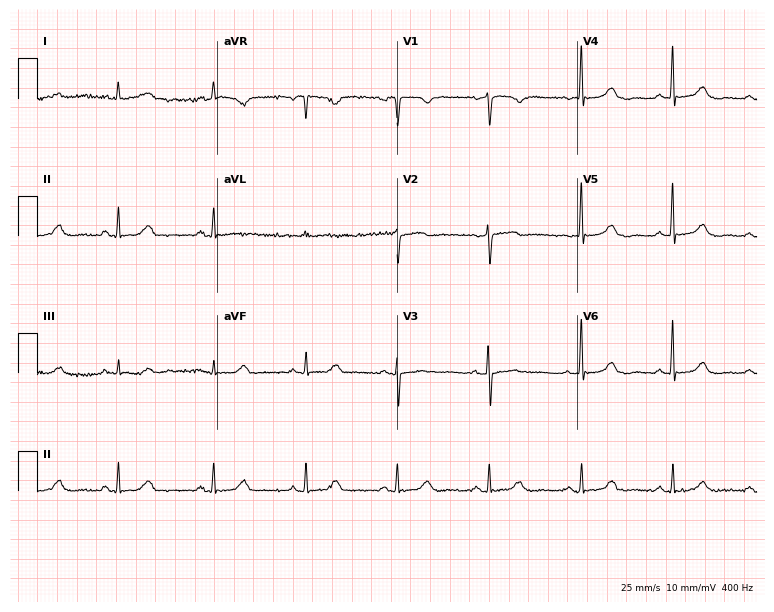
Standard 12-lead ECG recorded from a 77-year-old woman. Read as a normal ECG.